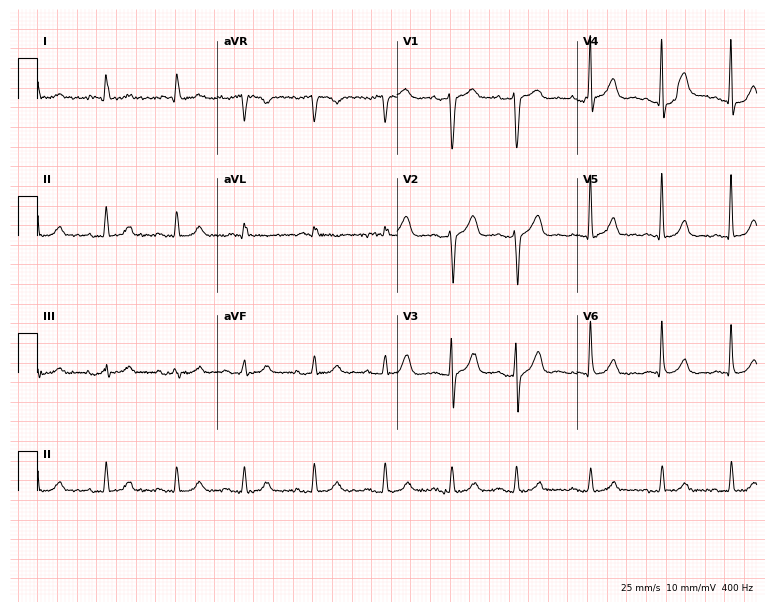
12-lead ECG from a male patient, 63 years old. Recorded interpretation: within normal limits.